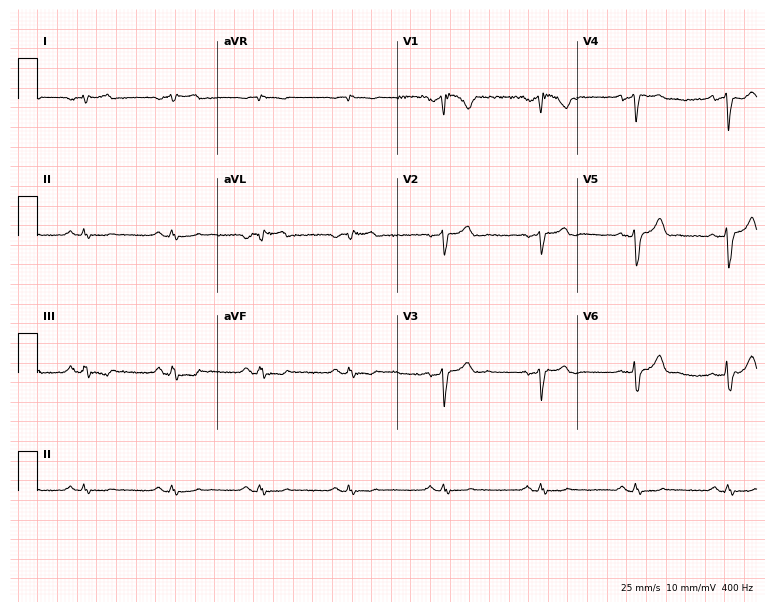
Standard 12-lead ECG recorded from a 61-year-old male. None of these six findings is recorded: first-degree AV block, right bundle branch block (RBBB), left bundle branch block (LBBB), sinus bradycardia, atrial fibrillation (AF), sinus tachycardia. Only these six findings were labelled.